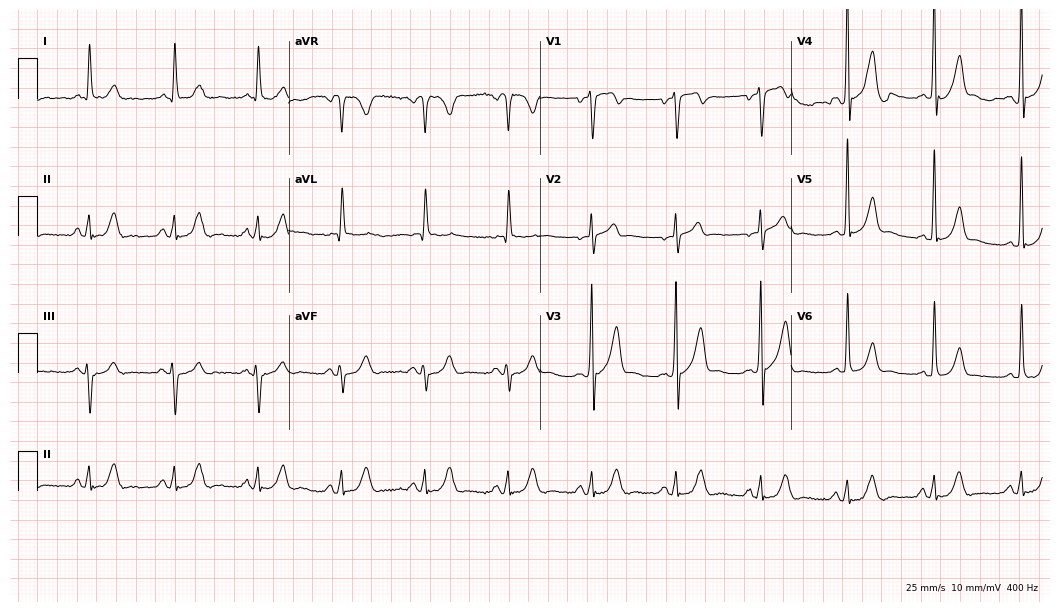
Electrocardiogram, a man, 65 years old. Of the six screened findings (first-degree AV block, right bundle branch block, left bundle branch block, sinus bradycardia, atrial fibrillation, sinus tachycardia), none is recorded.